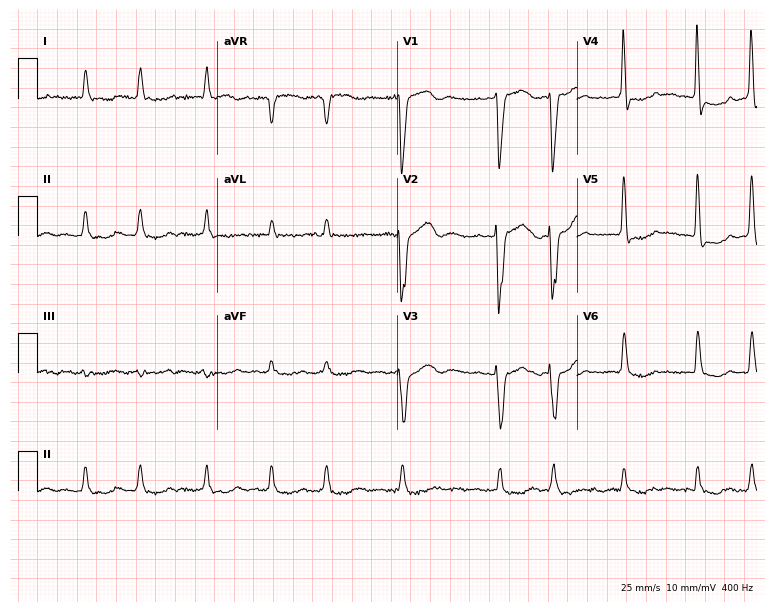
ECG (7.3-second recording at 400 Hz) — an 84-year-old female patient. Findings include atrial fibrillation (AF).